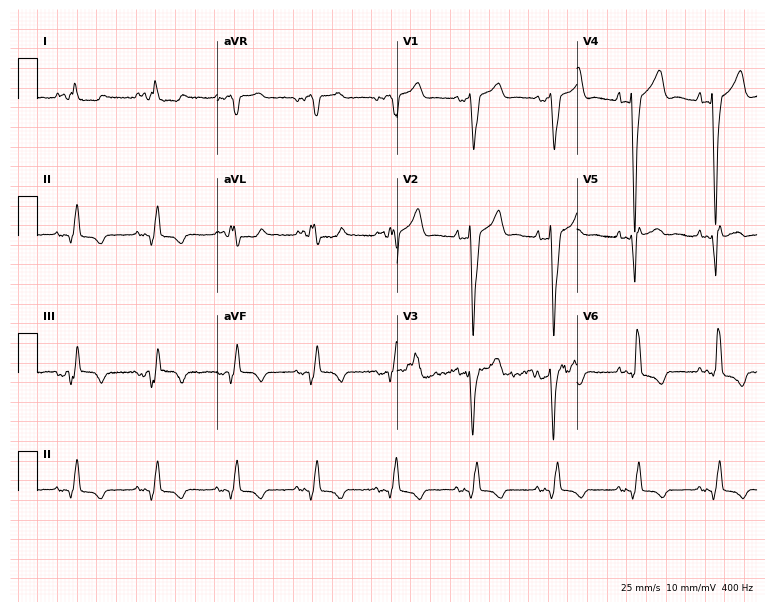
Standard 12-lead ECG recorded from a 67-year-old male patient. The tracing shows left bundle branch block.